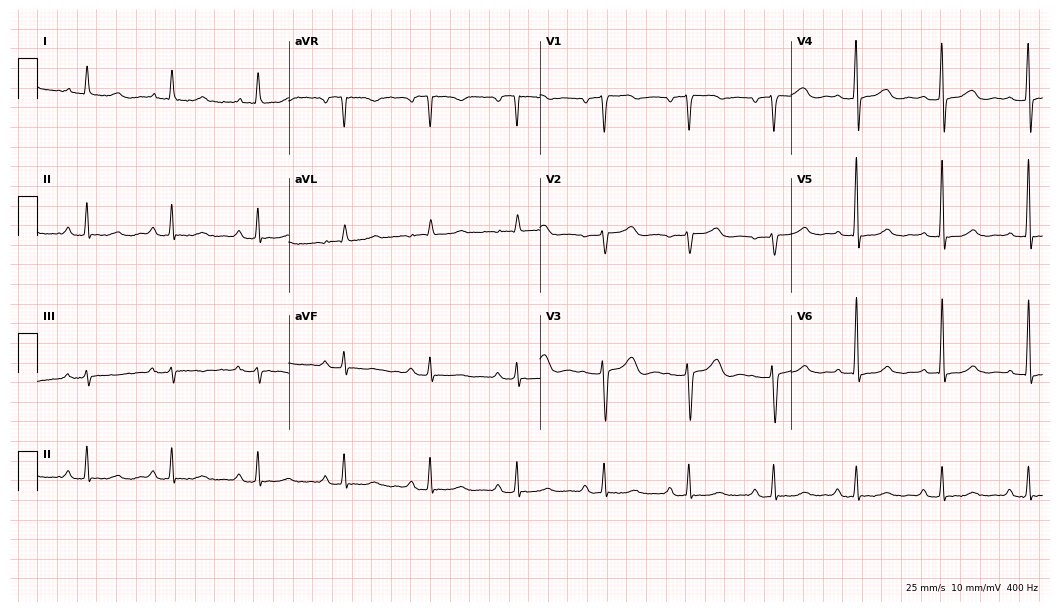
ECG — a female, 74 years old. Findings include first-degree AV block.